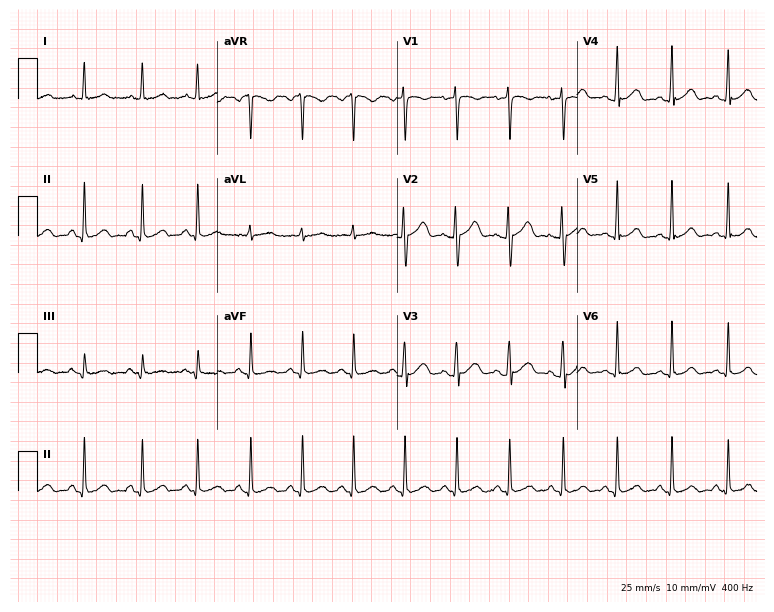
Electrocardiogram (7.3-second recording at 400 Hz), a female, 25 years old. Interpretation includes sinus tachycardia (a sinus rate of 100 beats per minute or more).